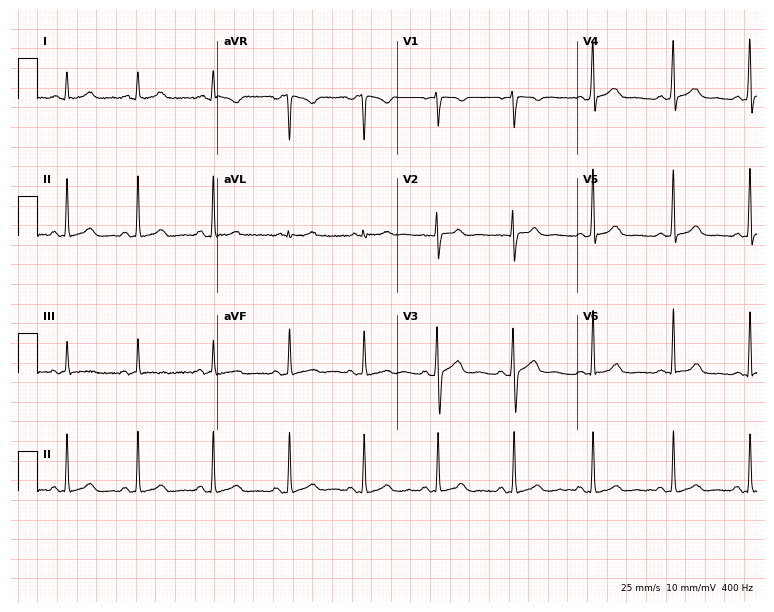
12-lead ECG from a 30-year-old female. Recorded interpretation: within normal limits.